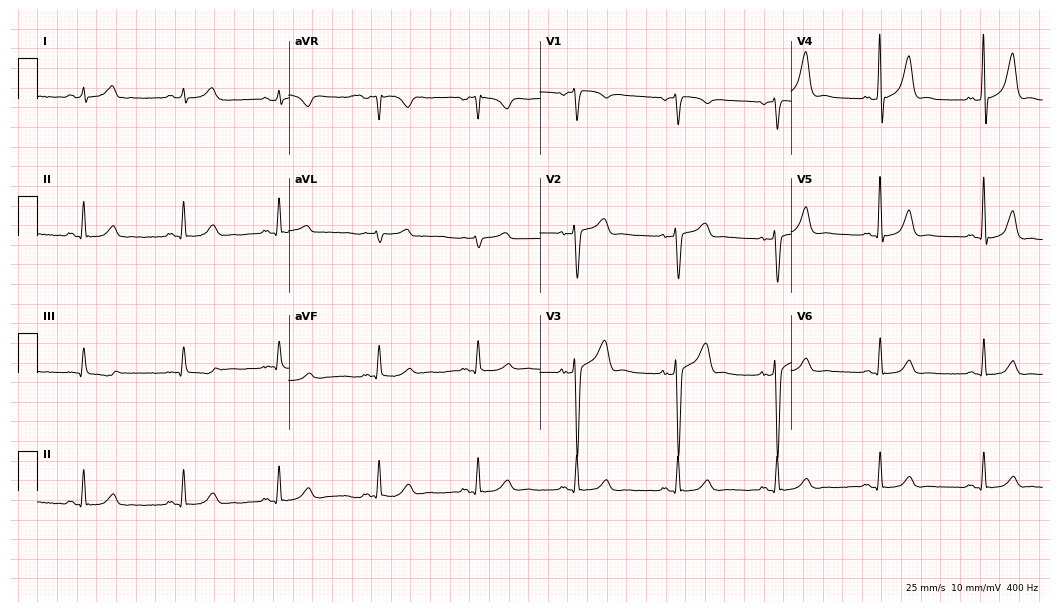
ECG — a male, 65 years old. Labelled as a normal ECG.